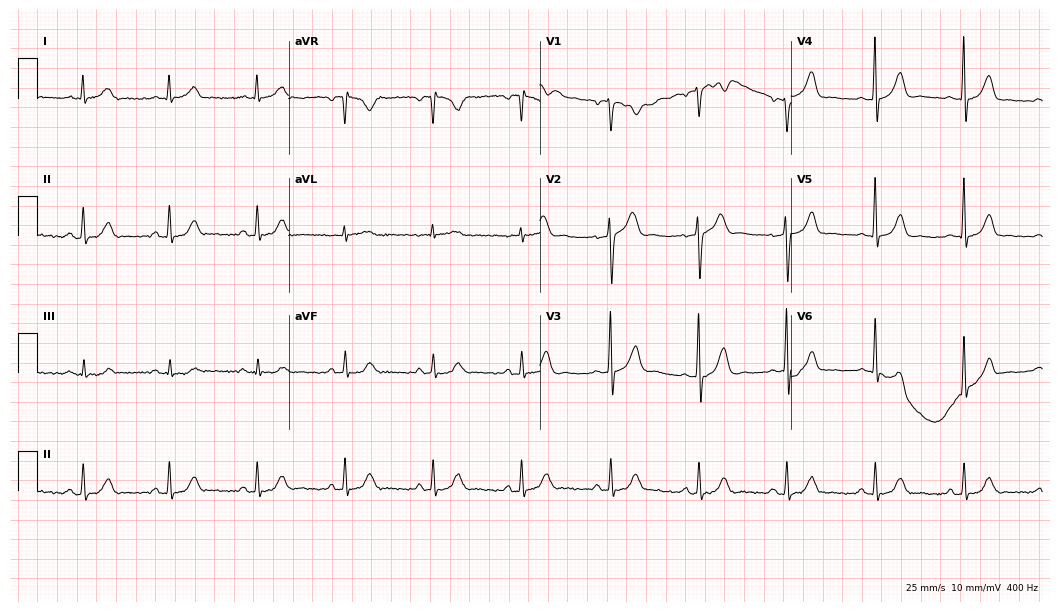
Resting 12-lead electrocardiogram. Patient: a male, 58 years old. Read as a normal ECG.